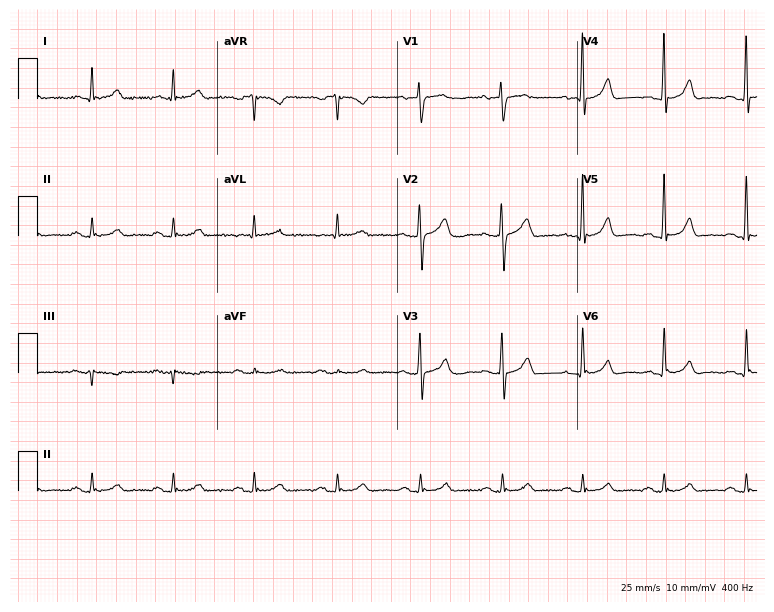
12-lead ECG from a 57-year-old male patient (7.3-second recording at 400 Hz). Recorded interpretation: within normal limits.